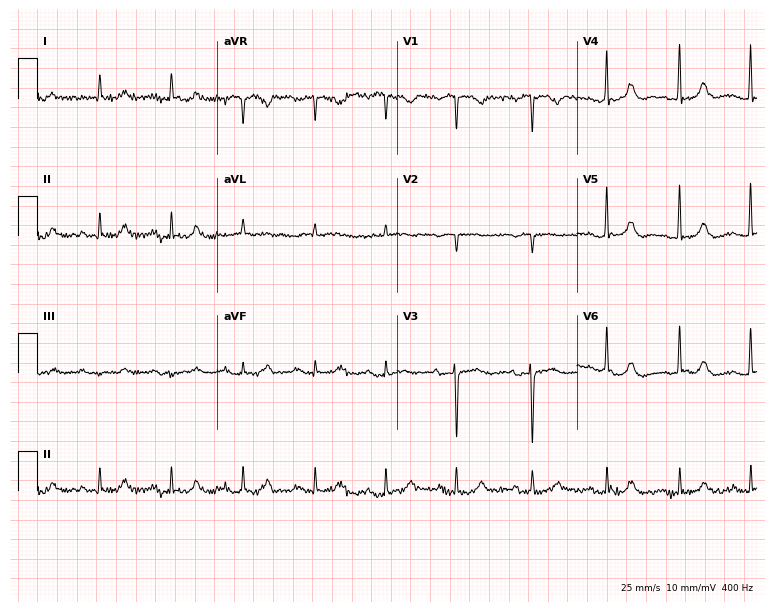
12-lead ECG from a female, 81 years old. No first-degree AV block, right bundle branch block, left bundle branch block, sinus bradycardia, atrial fibrillation or sinus tachycardia recorded for this tracing.